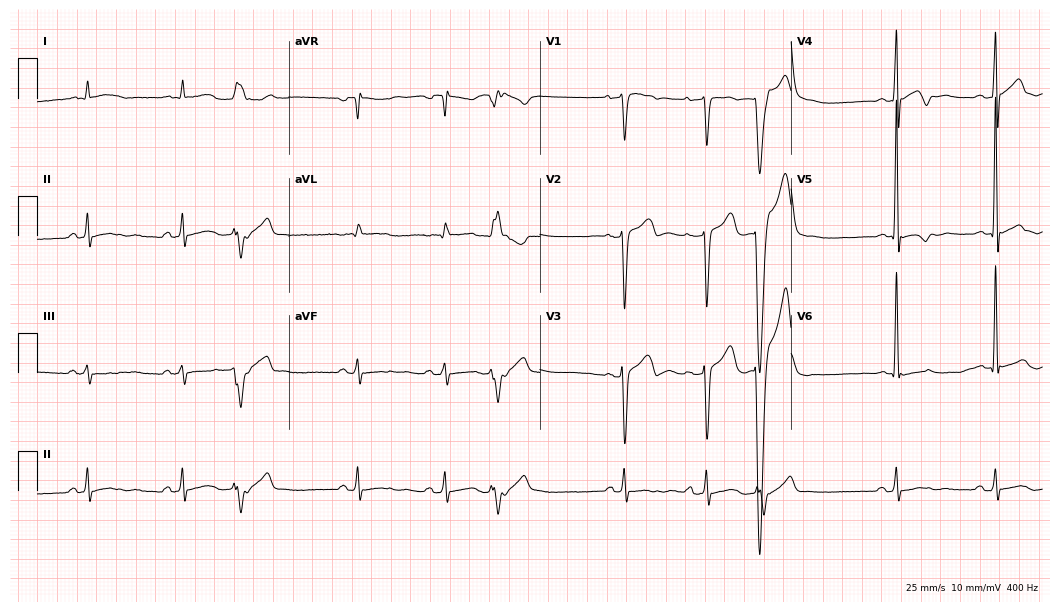
Electrocardiogram (10.2-second recording at 400 Hz), a 49-year-old male patient. Of the six screened findings (first-degree AV block, right bundle branch block, left bundle branch block, sinus bradycardia, atrial fibrillation, sinus tachycardia), none is recorded. Other findings, if any, are not listed.